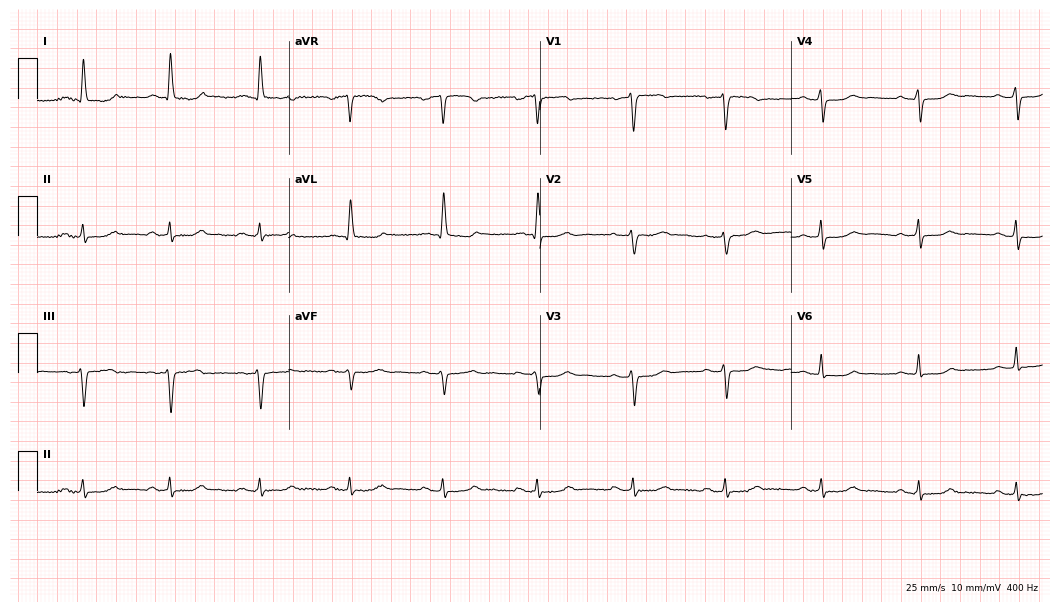
12-lead ECG from a woman, 48 years old (10.2-second recording at 400 Hz). Recorded interpretation: within normal limits.